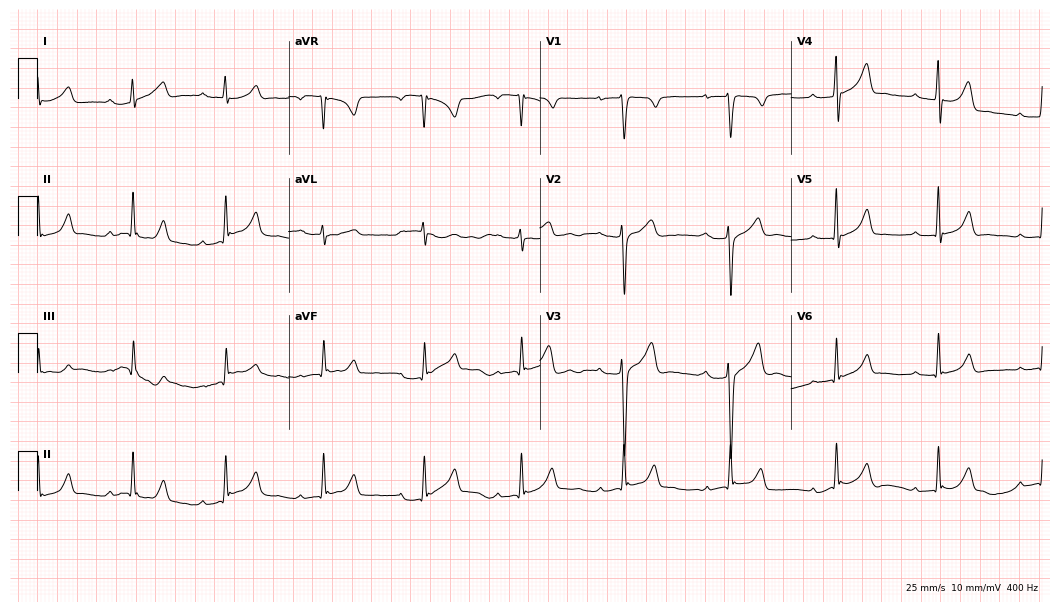
Resting 12-lead electrocardiogram (10.2-second recording at 400 Hz). Patient: a male, 20 years old. The tracing shows first-degree AV block.